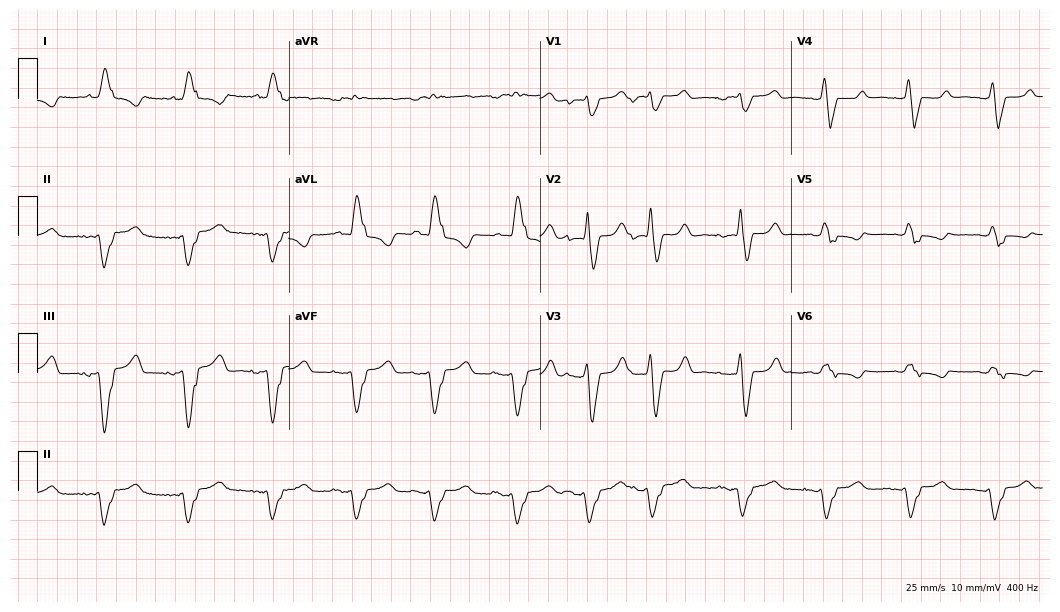
Standard 12-lead ECG recorded from a female, 55 years old (10.2-second recording at 400 Hz). None of these six findings is recorded: first-degree AV block, right bundle branch block (RBBB), left bundle branch block (LBBB), sinus bradycardia, atrial fibrillation (AF), sinus tachycardia. Findings outside these six are not listed.